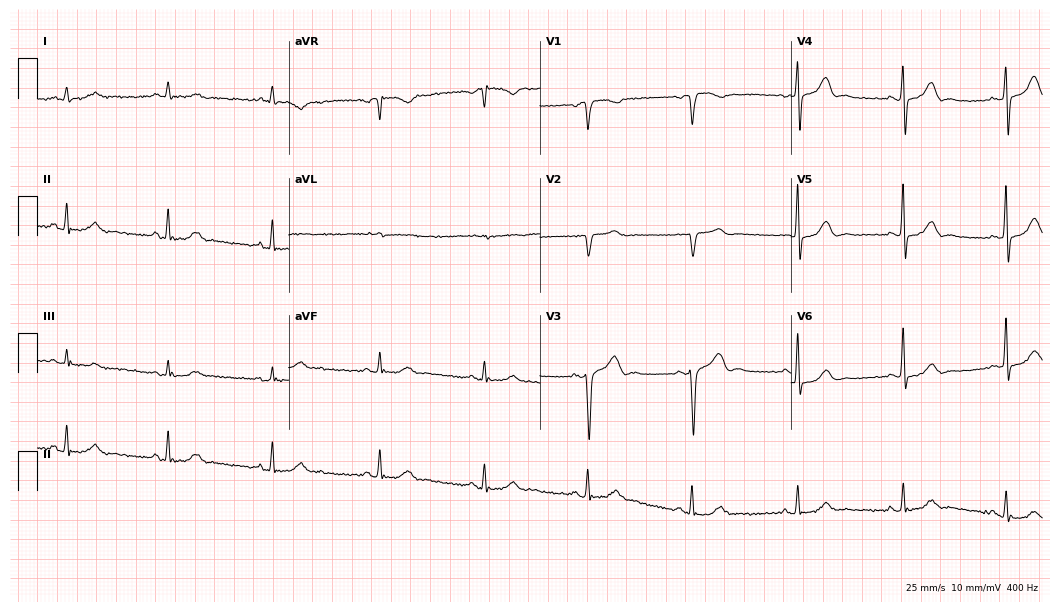
Standard 12-lead ECG recorded from a 66-year-old male (10.2-second recording at 400 Hz). Read as a normal ECG.